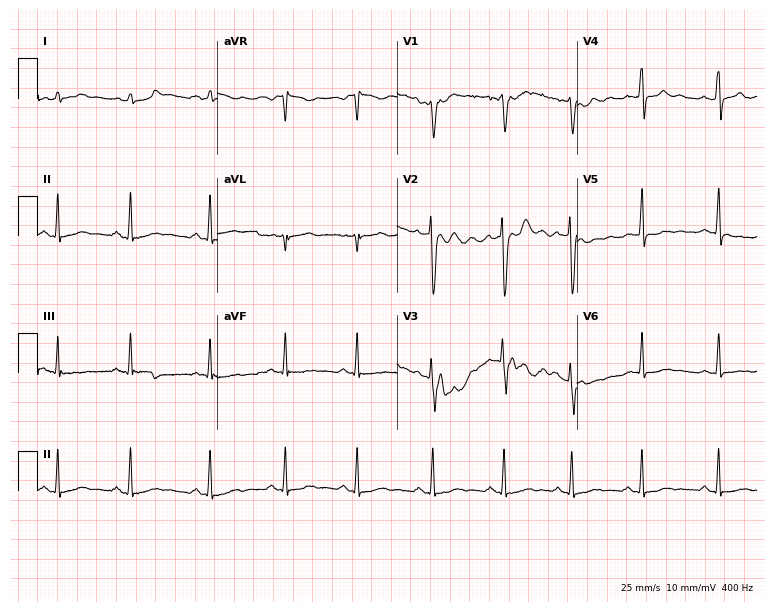
12-lead ECG from a 28-year-old male. Screened for six findings — first-degree AV block, right bundle branch block, left bundle branch block, sinus bradycardia, atrial fibrillation, sinus tachycardia — none is recorded.